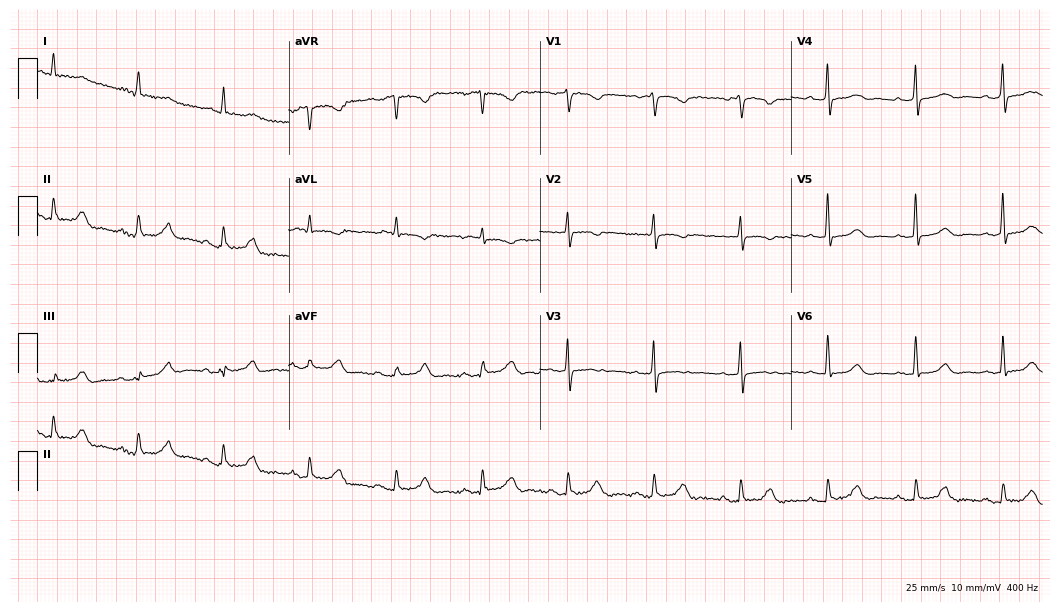
ECG (10.2-second recording at 400 Hz) — a 76-year-old female patient. Labelled as a normal ECG.